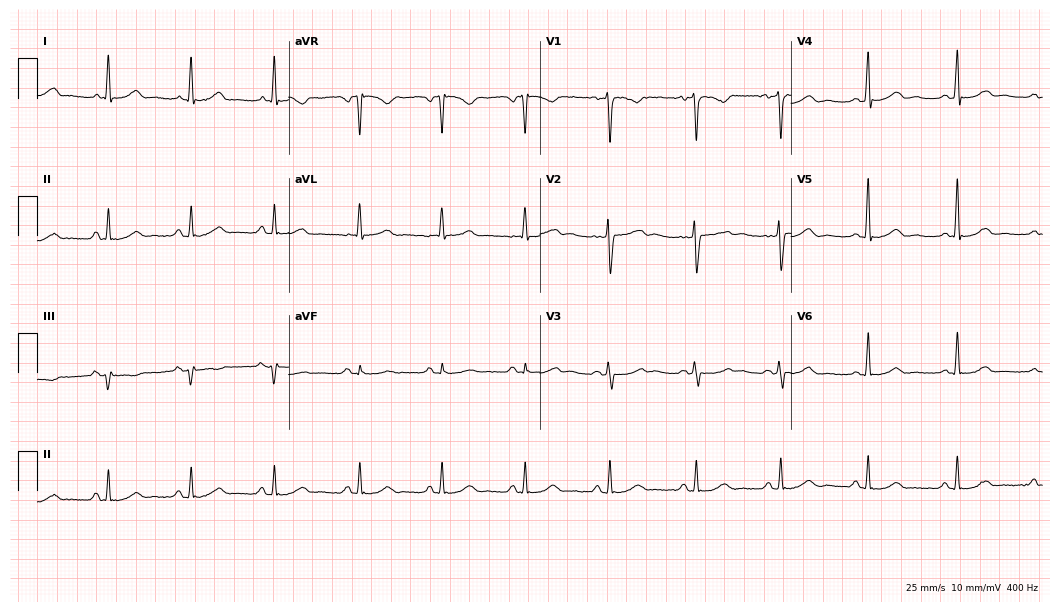
ECG (10.2-second recording at 400 Hz) — a female patient, 34 years old. Labelled as a normal ECG.